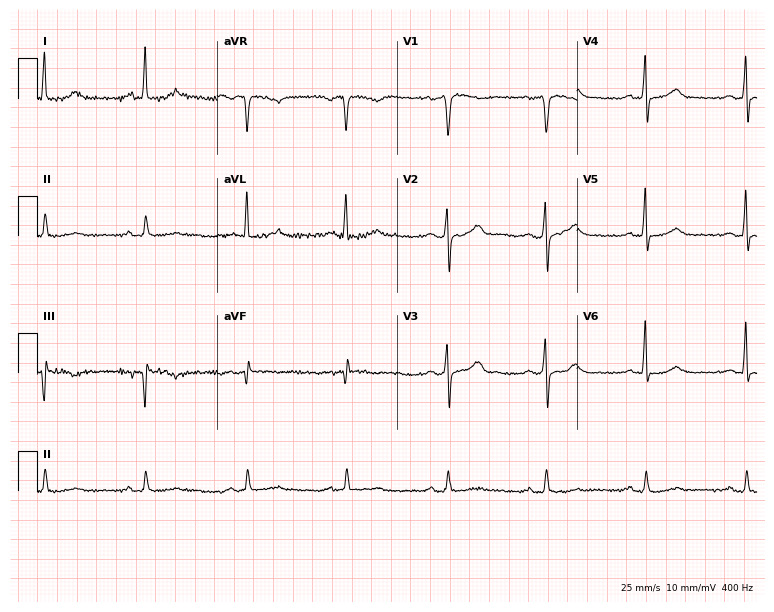
12-lead ECG (7.3-second recording at 400 Hz) from a 65-year-old male patient. Labelled as a normal ECG.